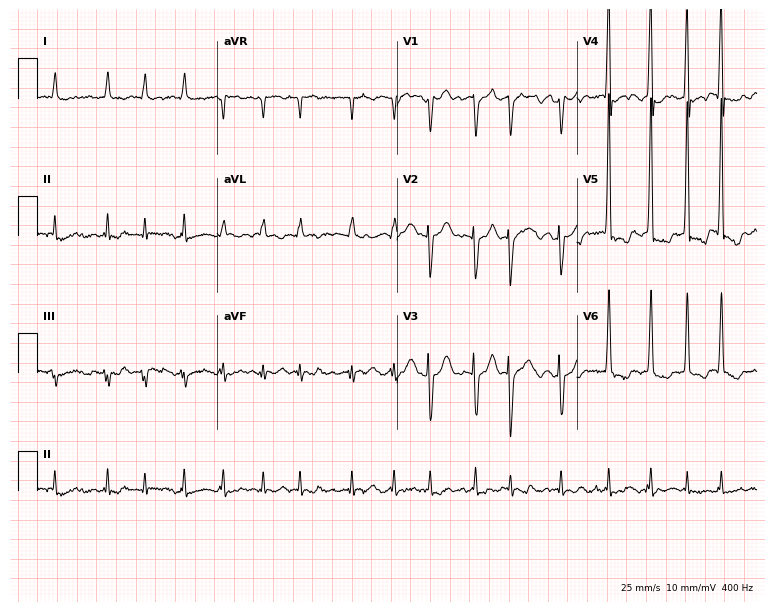
ECG — a 78-year-old man. Findings include atrial fibrillation.